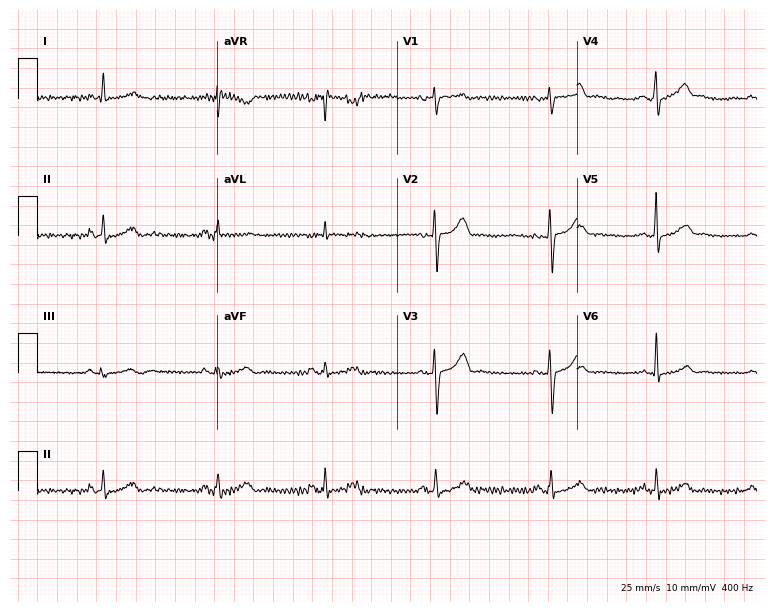
ECG (7.3-second recording at 400 Hz) — a male, 34 years old. Labelled as a normal ECG.